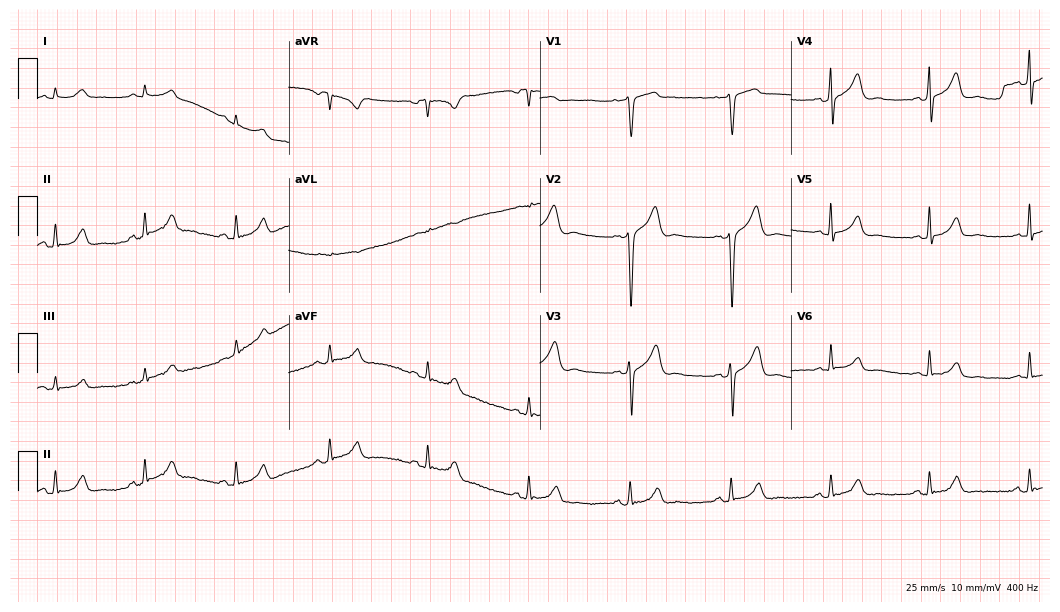
Resting 12-lead electrocardiogram (10.2-second recording at 400 Hz). Patient: a 50-year-old male. Read as a normal ECG.